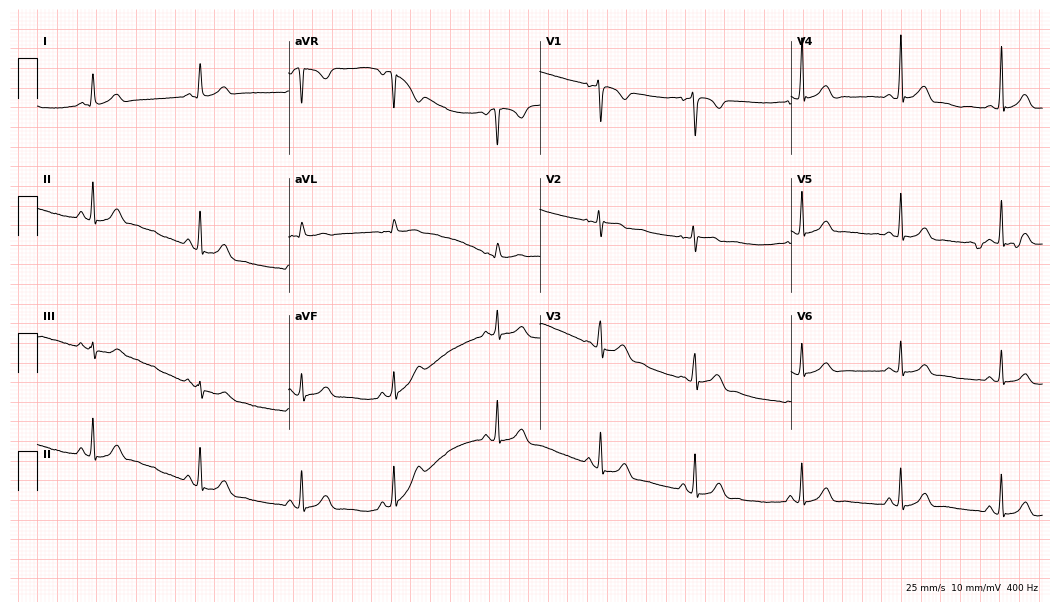
ECG — a 24-year-old female. Labelled as a normal ECG.